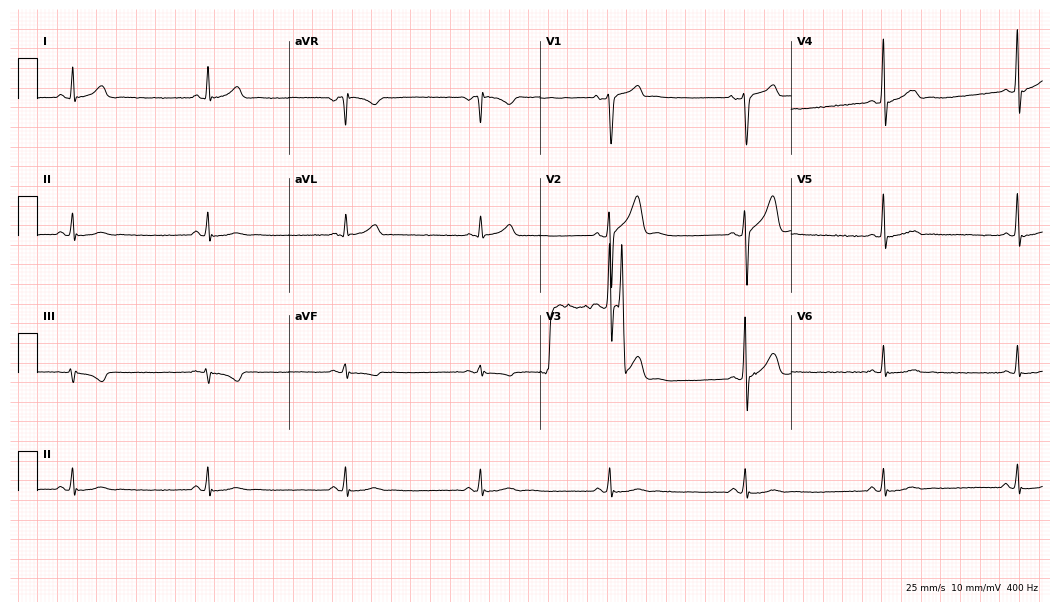
Standard 12-lead ECG recorded from a male patient, 31 years old (10.2-second recording at 400 Hz). The tracing shows sinus bradycardia (a sinus rate of 50 beats per minute or less).